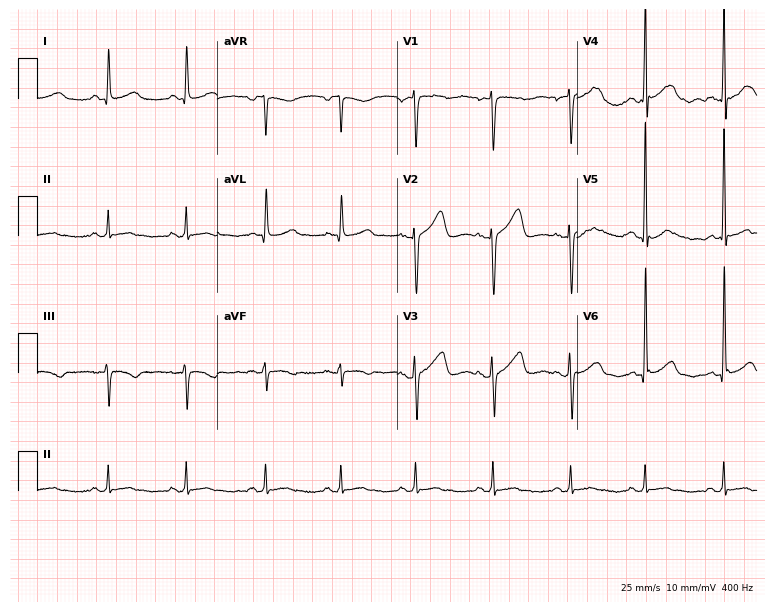
Electrocardiogram, a man, 41 years old. Of the six screened findings (first-degree AV block, right bundle branch block, left bundle branch block, sinus bradycardia, atrial fibrillation, sinus tachycardia), none is recorded. Only these six findings were labelled.